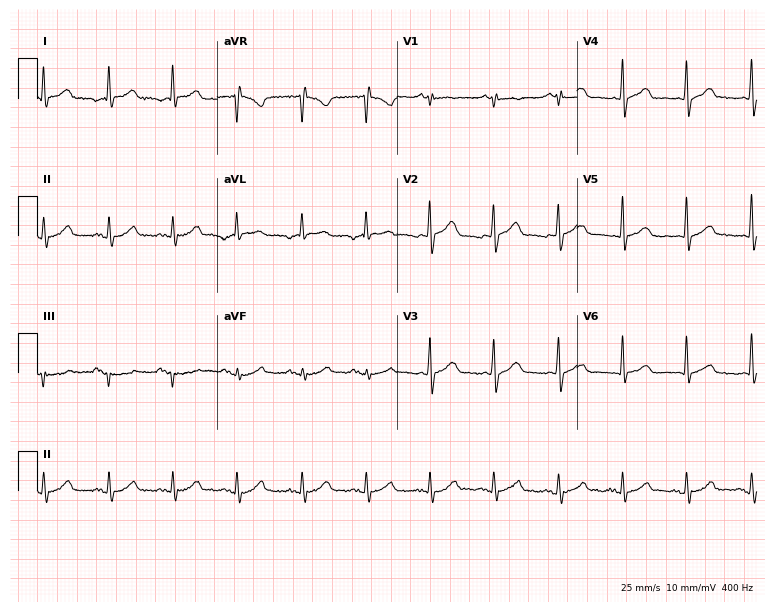
Resting 12-lead electrocardiogram (7.3-second recording at 400 Hz). Patient: a male, 67 years old. None of these six findings is recorded: first-degree AV block, right bundle branch block (RBBB), left bundle branch block (LBBB), sinus bradycardia, atrial fibrillation (AF), sinus tachycardia.